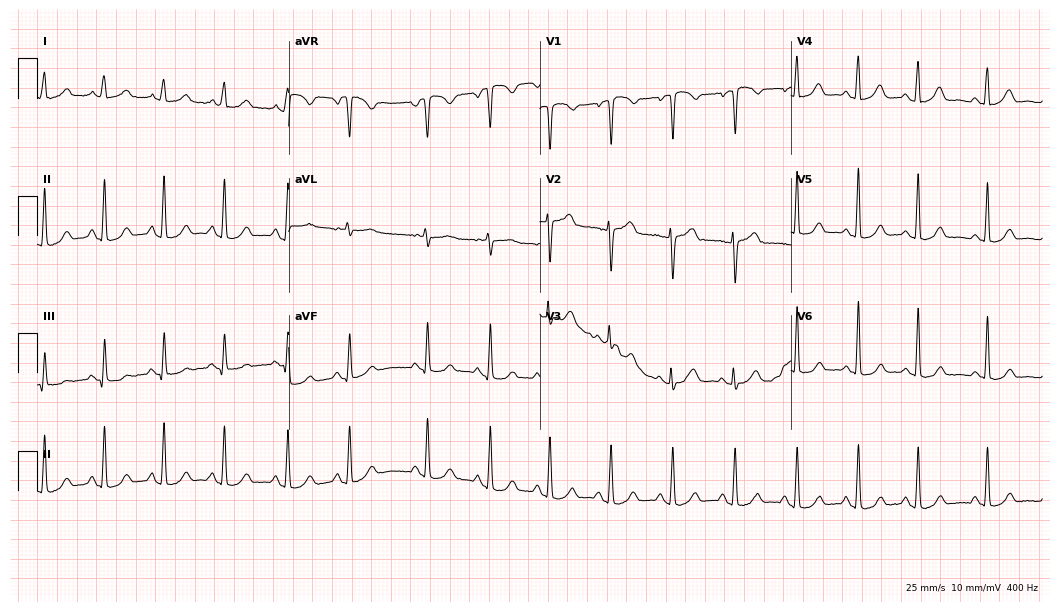
Standard 12-lead ECG recorded from a female patient, 51 years old (10.2-second recording at 400 Hz). Read as a normal ECG.